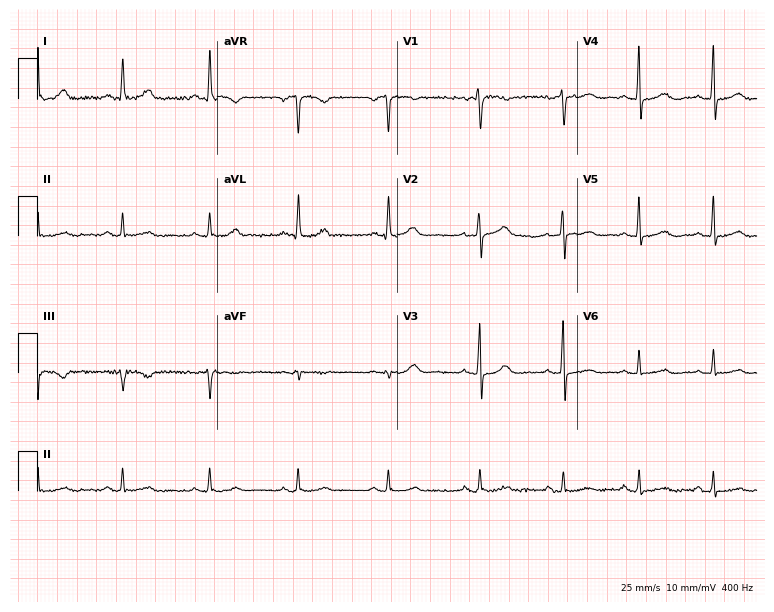
Electrocardiogram (7.3-second recording at 400 Hz), a female, 41 years old. Of the six screened findings (first-degree AV block, right bundle branch block, left bundle branch block, sinus bradycardia, atrial fibrillation, sinus tachycardia), none is recorded.